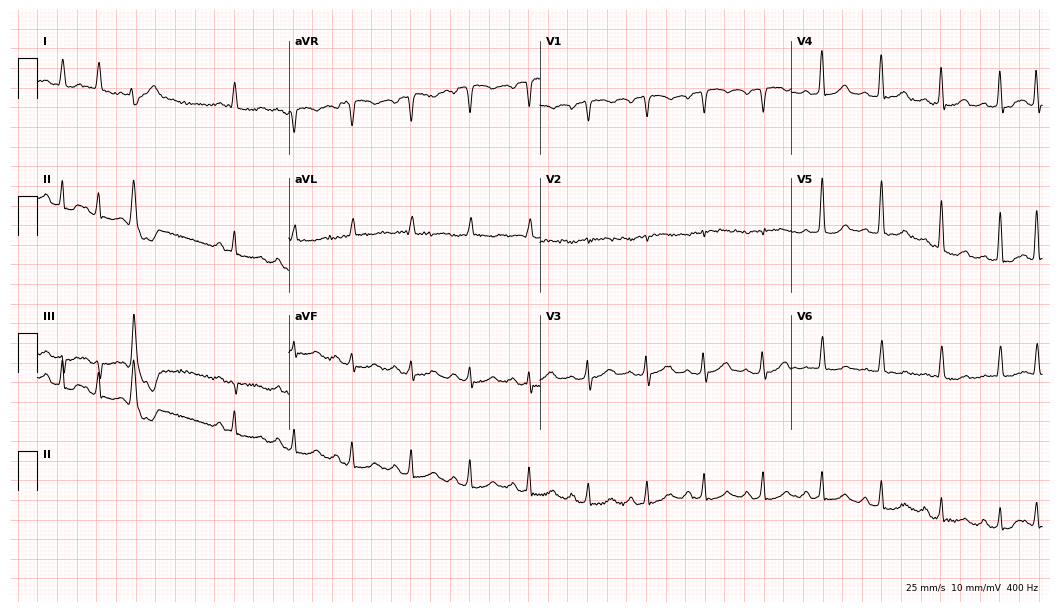
ECG — a 78-year-old male patient. Screened for six findings — first-degree AV block, right bundle branch block, left bundle branch block, sinus bradycardia, atrial fibrillation, sinus tachycardia — none is recorded.